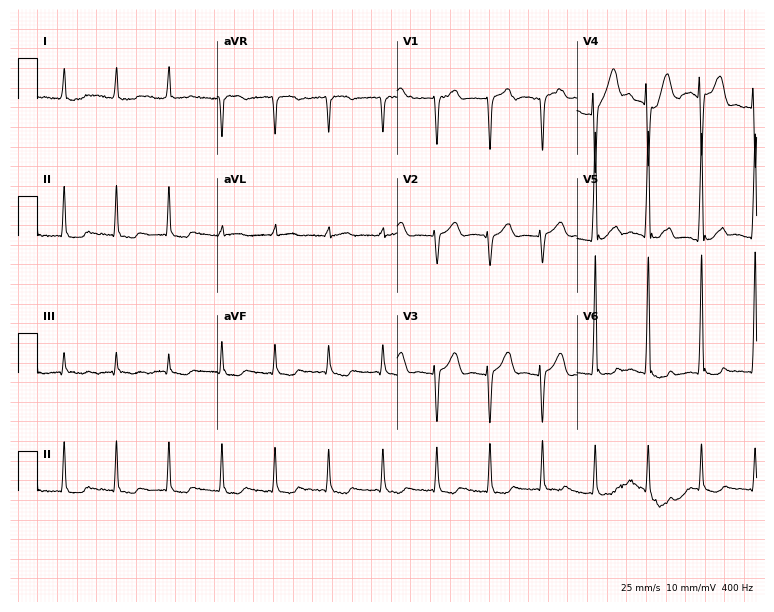
Resting 12-lead electrocardiogram. Patient: a man, 74 years old. None of these six findings is recorded: first-degree AV block, right bundle branch block, left bundle branch block, sinus bradycardia, atrial fibrillation, sinus tachycardia. Findings outside these six are not listed.